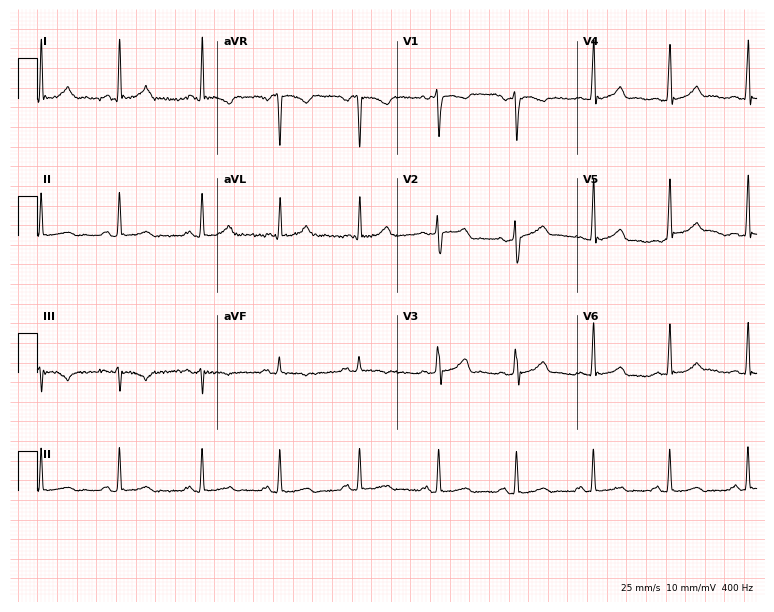
Resting 12-lead electrocardiogram (7.3-second recording at 400 Hz). Patient: a female, 27 years old. Read as a normal ECG.